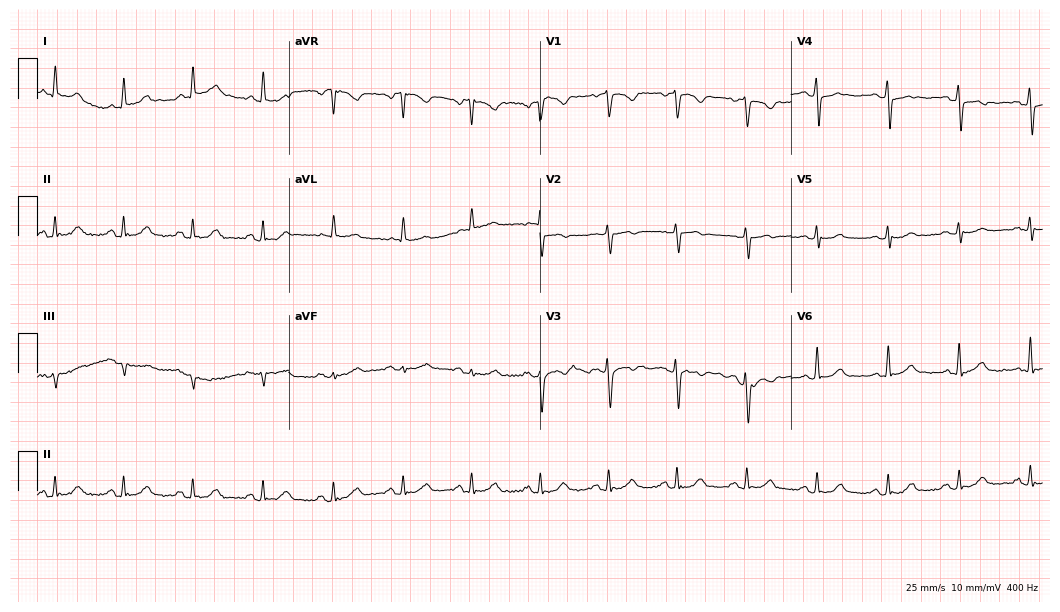
ECG (10.2-second recording at 400 Hz) — a 58-year-old female patient. Labelled as a normal ECG.